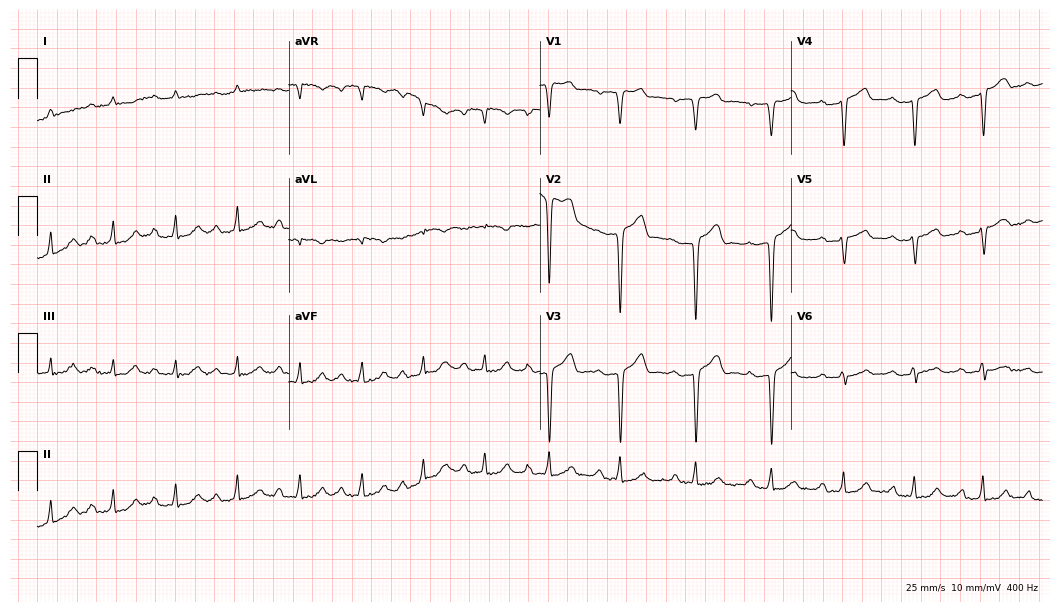
ECG (10.2-second recording at 400 Hz) — a male, 75 years old. Findings include first-degree AV block.